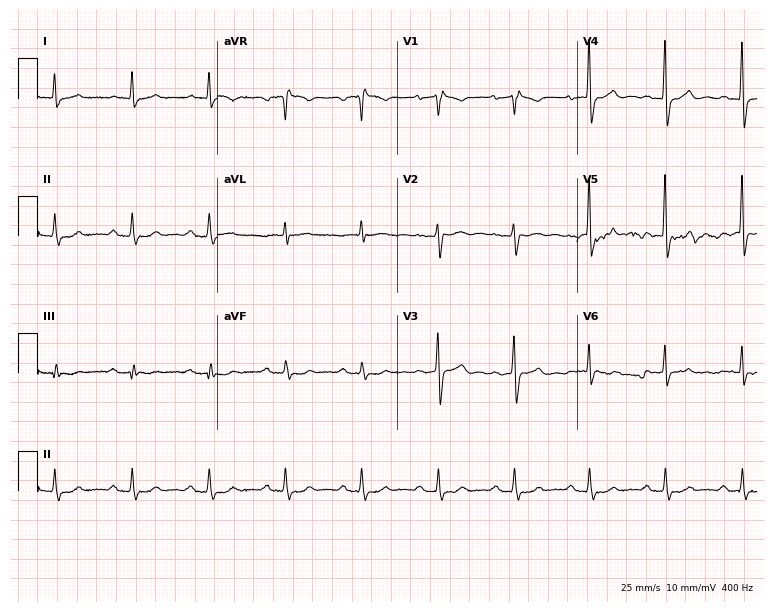
Electrocardiogram, a 72-year-old woman. Overall reading on record: normal ECG.